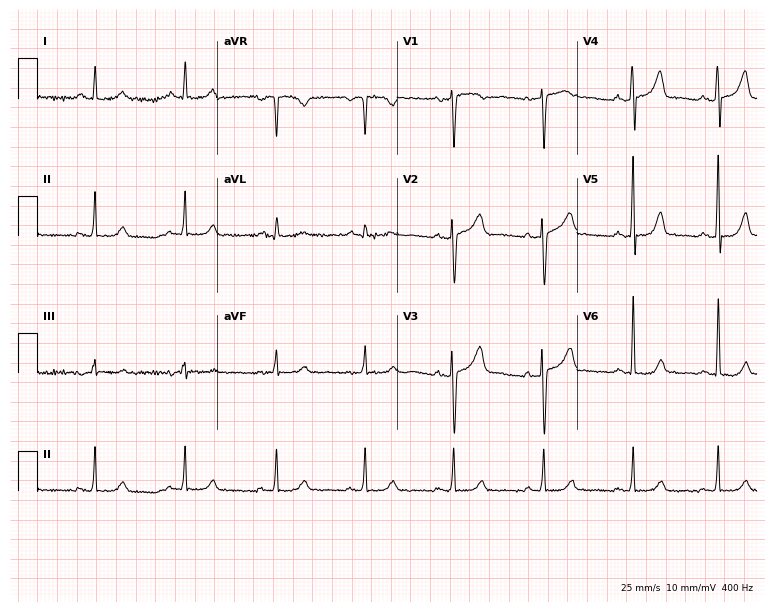
12-lead ECG from a 45-year-old female patient. No first-degree AV block, right bundle branch block (RBBB), left bundle branch block (LBBB), sinus bradycardia, atrial fibrillation (AF) or sinus tachycardia recorded for this tracing.